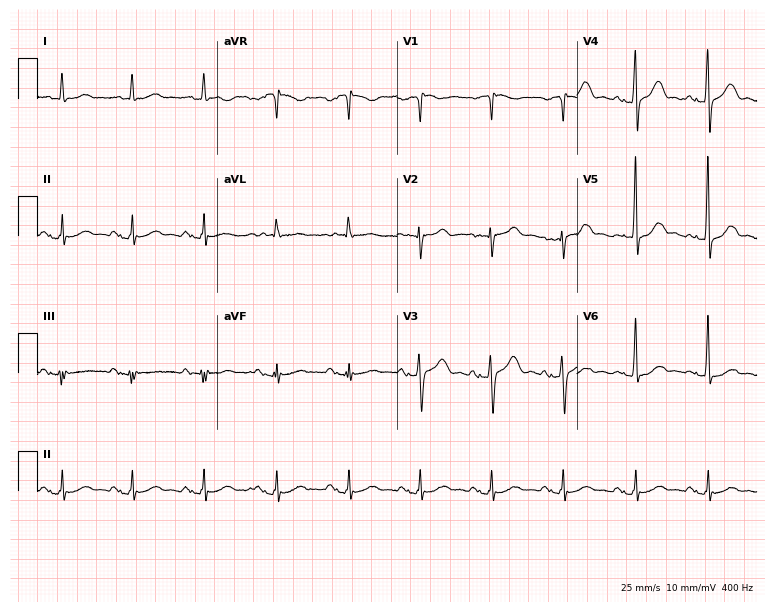
ECG — a 69-year-old man. Labelled as a normal ECG.